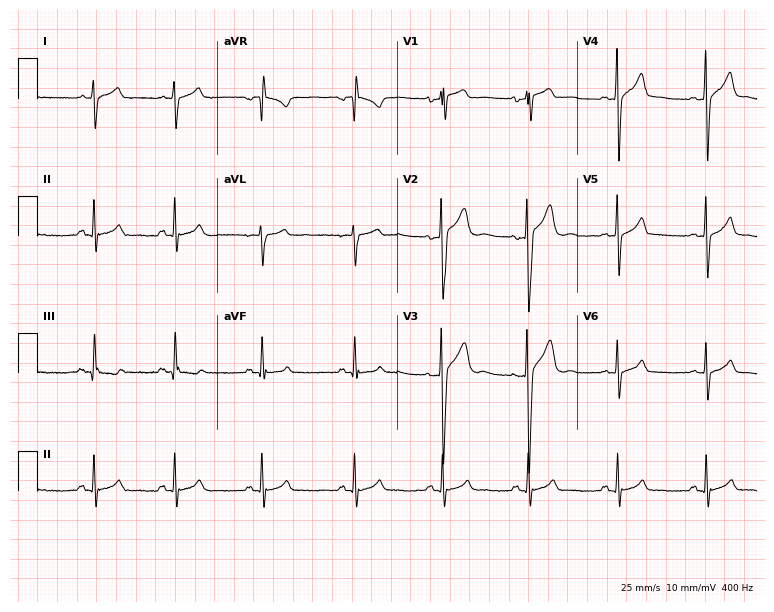
12-lead ECG from a male, 21 years old. Screened for six findings — first-degree AV block, right bundle branch block, left bundle branch block, sinus bradycardia, atrial fibrillation, sinus tachycardia — none is recorded. Other findings, if any, are not listed.